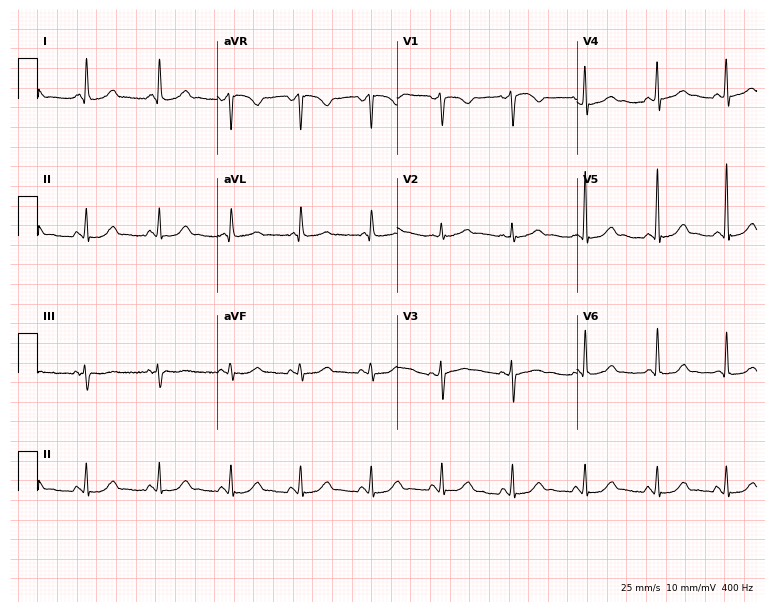
Electrocardiogram, a 46-year-old female patient. Of the six screened findings (first-degree AV block, right bundle branch block, left bundle branch block, sinus bradycardia, atrial fibrillation, sinus tachycardia), none is recorded.